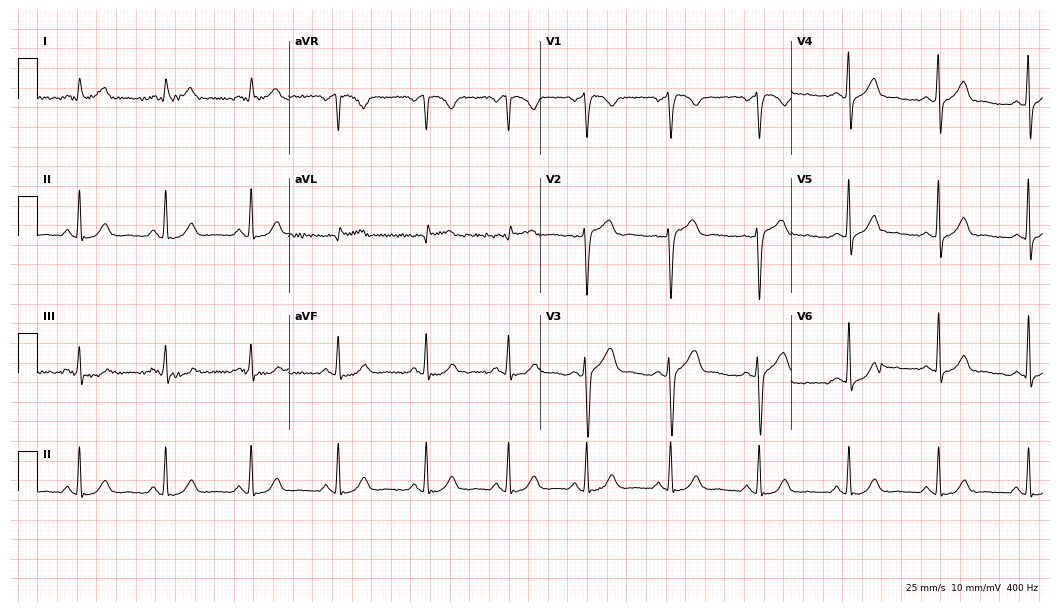
Electrocardiogram (10.2-second recording at 400 Hz), a 38-year-old male. Overall reading on record: normal ECG.